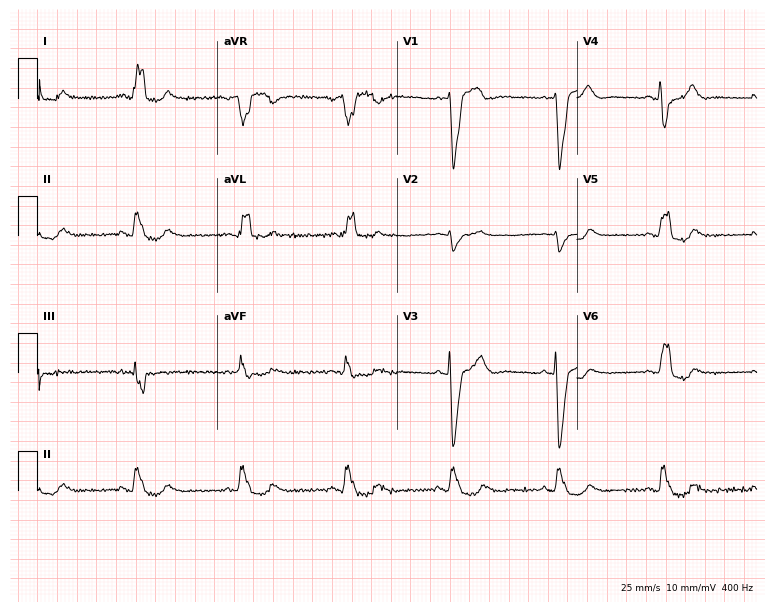
ECG (7.3-second recording at 400 Hz) — a male, 61 years old. Findings include left bundle branch block (LBBB).